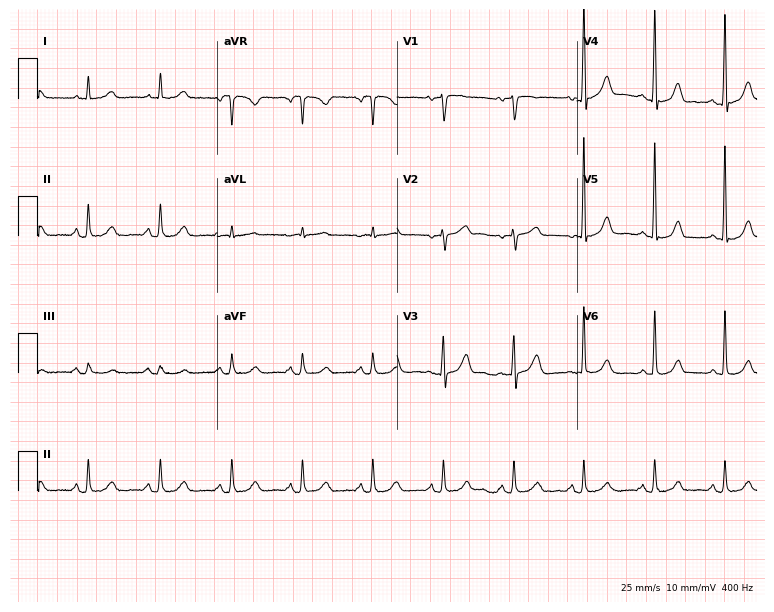
Resting 12-lead electrocardiogram (7.3-second recording at 400 Hz). Patient: a woman, 62 years old. Read as a normal ECG.